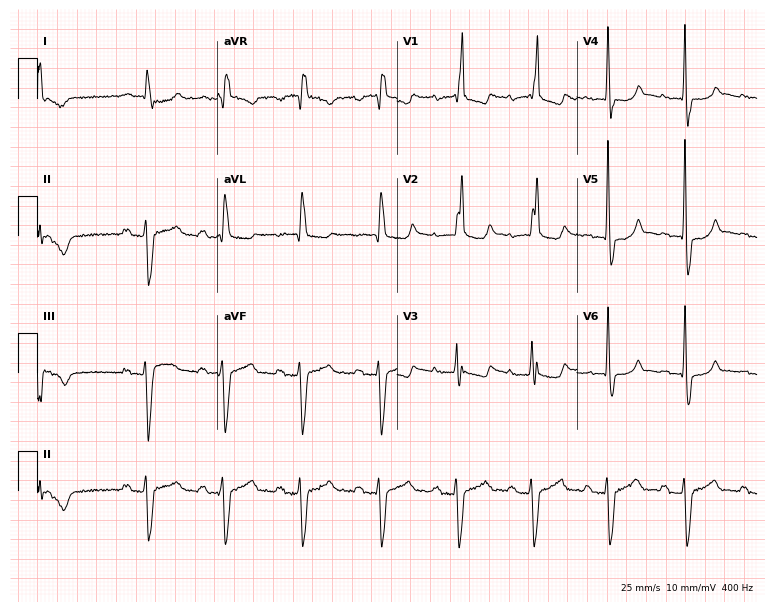
12-lead ECG from a 75-year-old female. Shows right bundle branch block (RBBB).